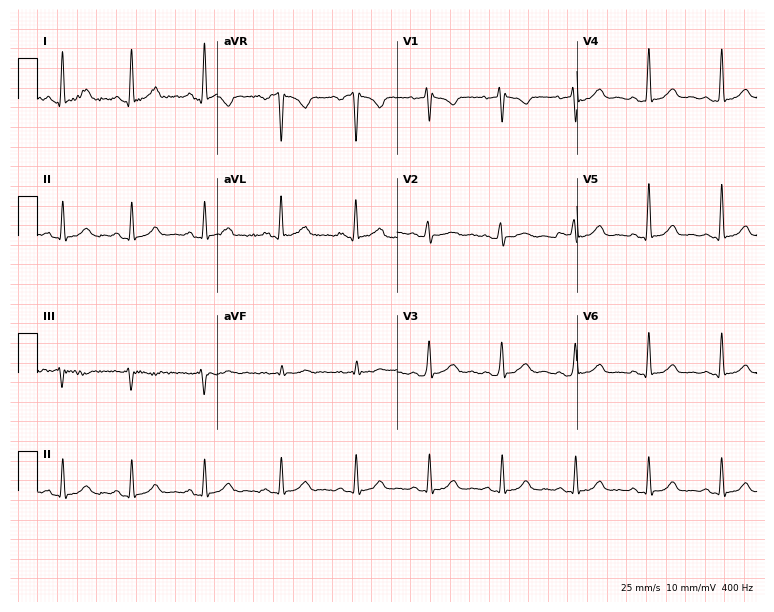
ECG (7.3-second recording at 400 Hz) — a female, 26 years old. Screened for six findings — first-degree AV block, right bundle branch block, left bundle branch block, sinus bradycardia, atrial fibrillation, sinus tachycardia — none is recorded. Other findings, if any, are not listed.